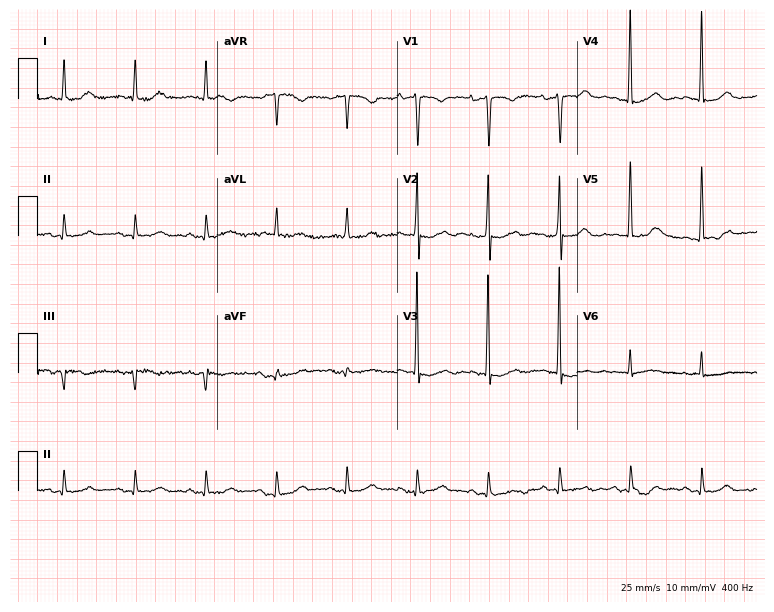
Standard 12-lead ECG recorded from a woman, 85 years old. Read as a normal ECG.